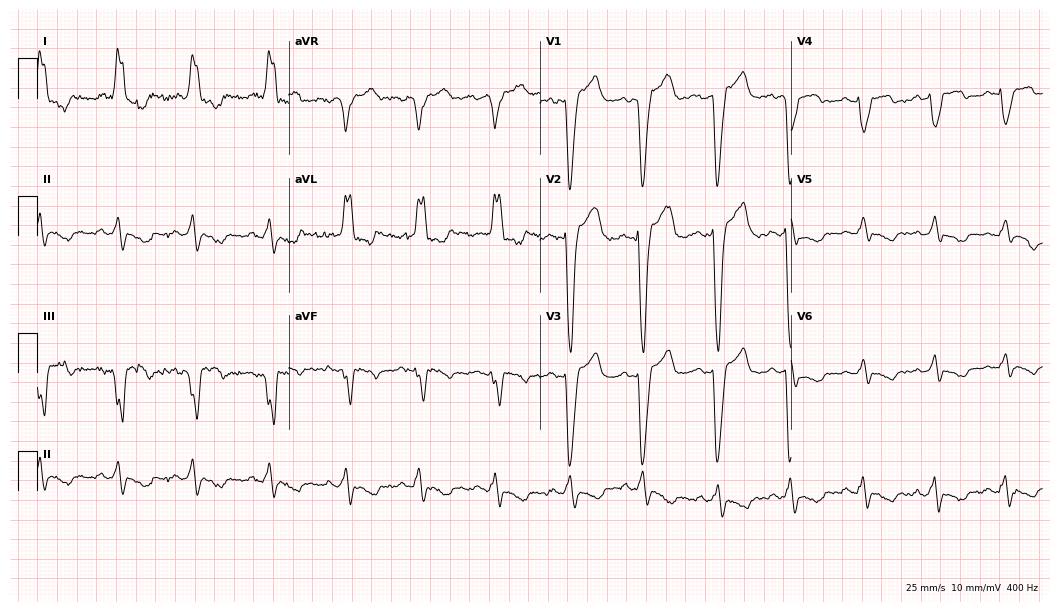
Electrocardiogram (10.2-second recording at 400 Hz), a woman, 51 years old. Interpretation includes left bundle branch block (LBBB).